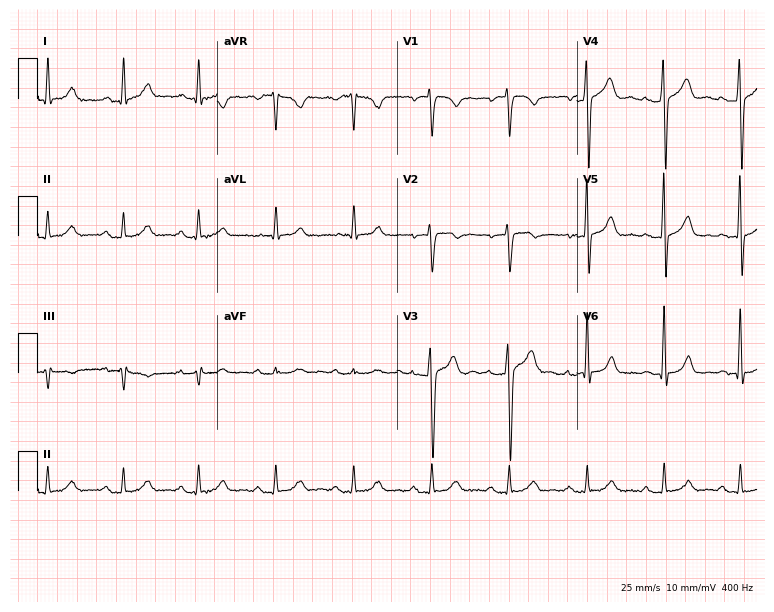
12-lead ECG from a 55-year-old man (7.3-second recording at 400 Hz). Recorded interpretation: within normal limits.